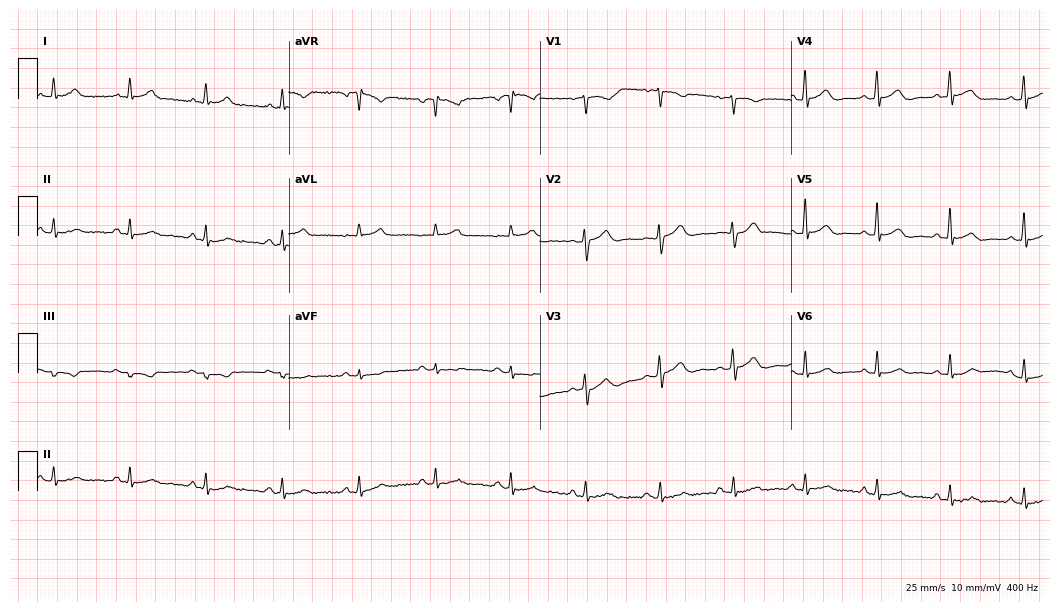
ECG (10.2-second recording at 400 Hz) — a 51-year-old male. Labelled as a normal ECG.